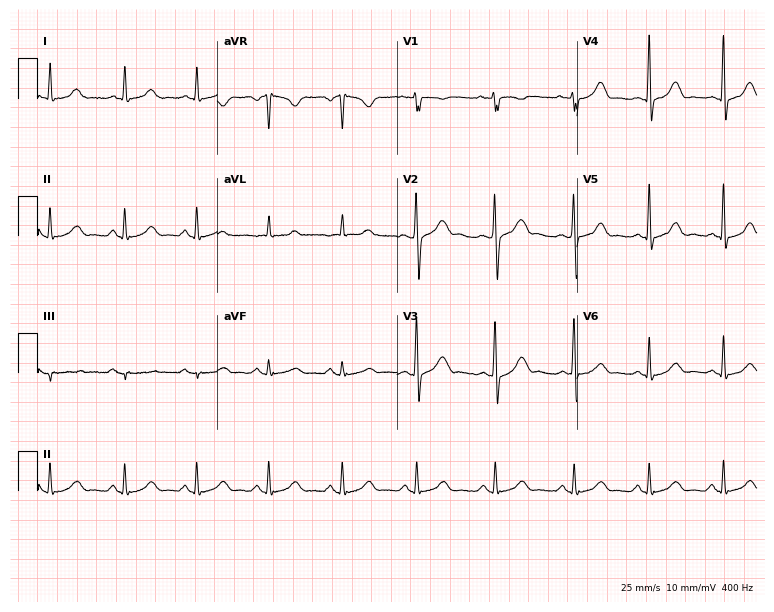
Standard 12-lead ECG recorded from a 37-year-old female. Read as a normal ECG.